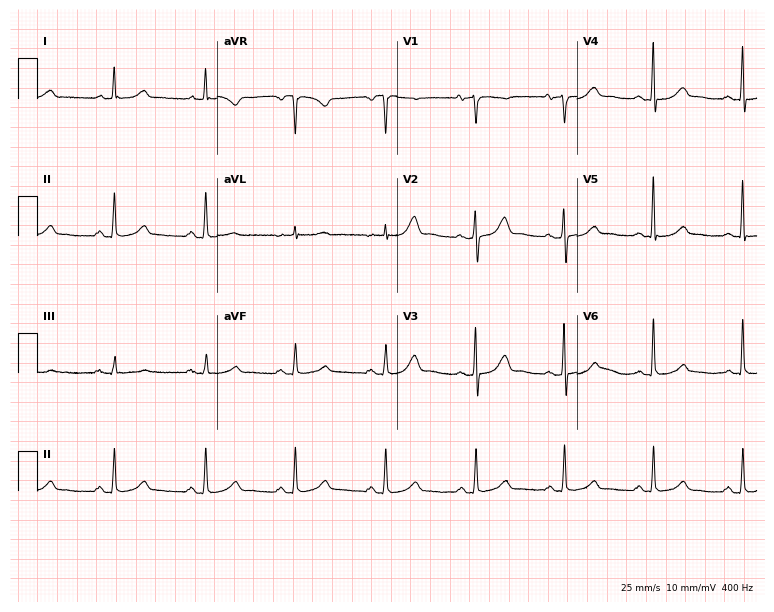
Resting 12-lead electrocardiogram. Patient: a 49-year-old female. None of these six findings is recorded: first-degree AV block, right bundle branch block, left bundle branch block, sinus bradycardia, atrial fibrillation, sinus tachycardia. Other findings, if any, are not listed.